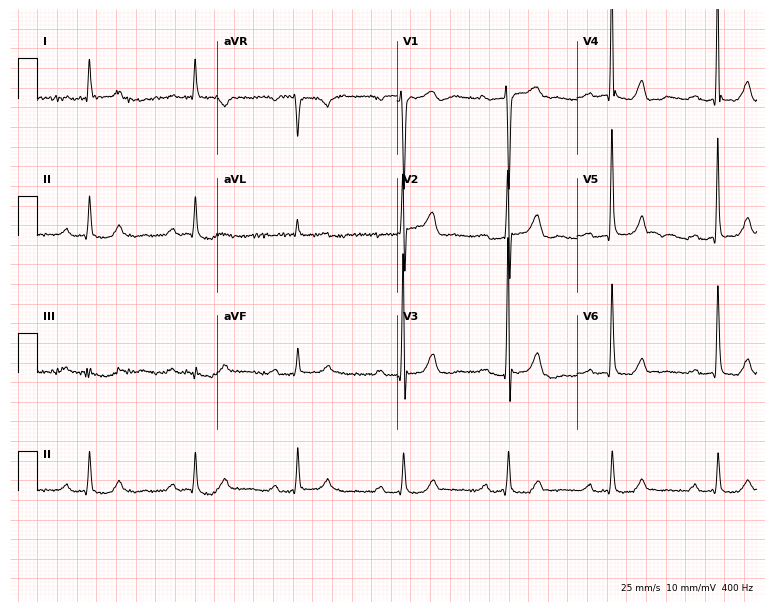
Electrocardiogram, an 80-year-old man. Interpretation includes first-degree AV block.